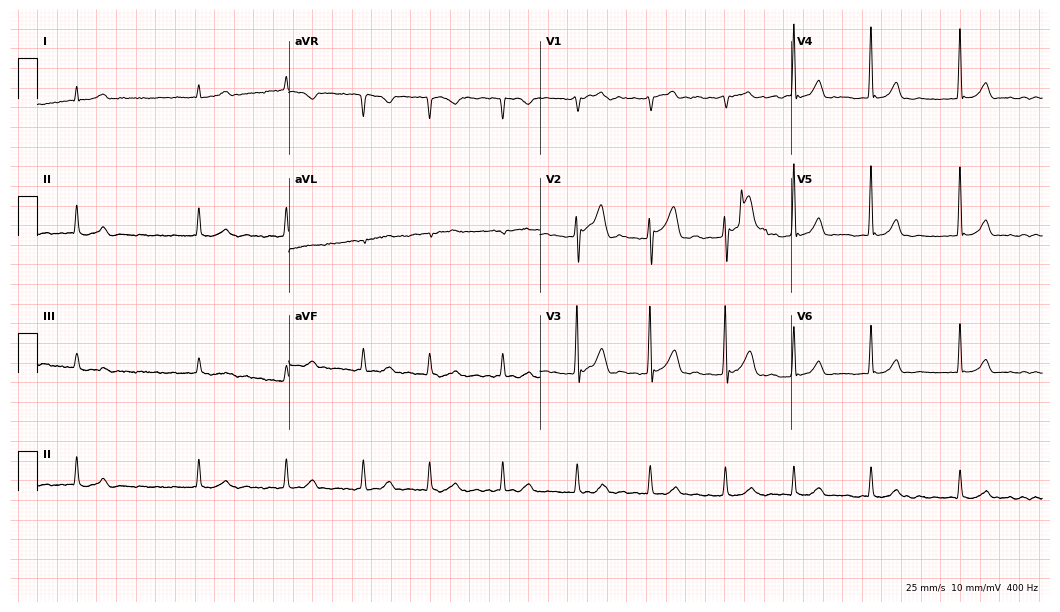
12-lead ECG from a male, 73 years old. Shows atrial fibrillation.